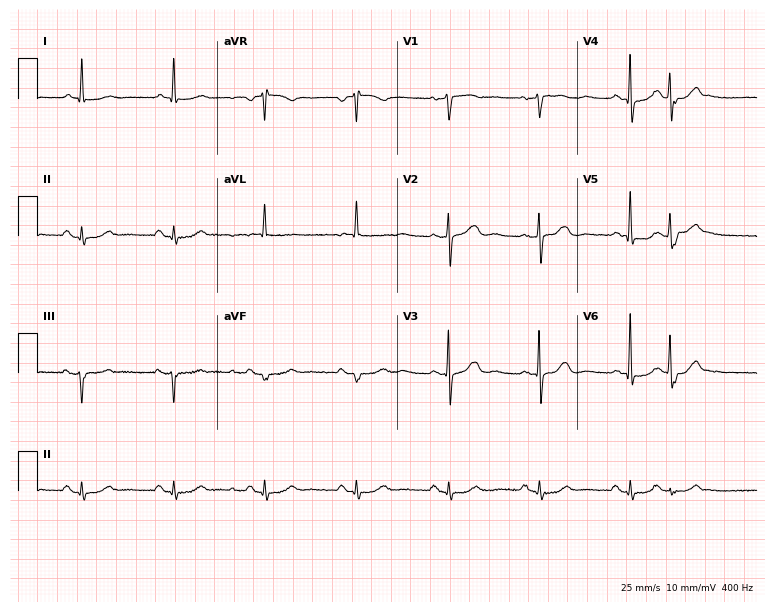
Resting 12-lead electrocardiogram (7.3-second recording at 400 Hz). Patient: a female, 73 years old. Read as a normal ECG.